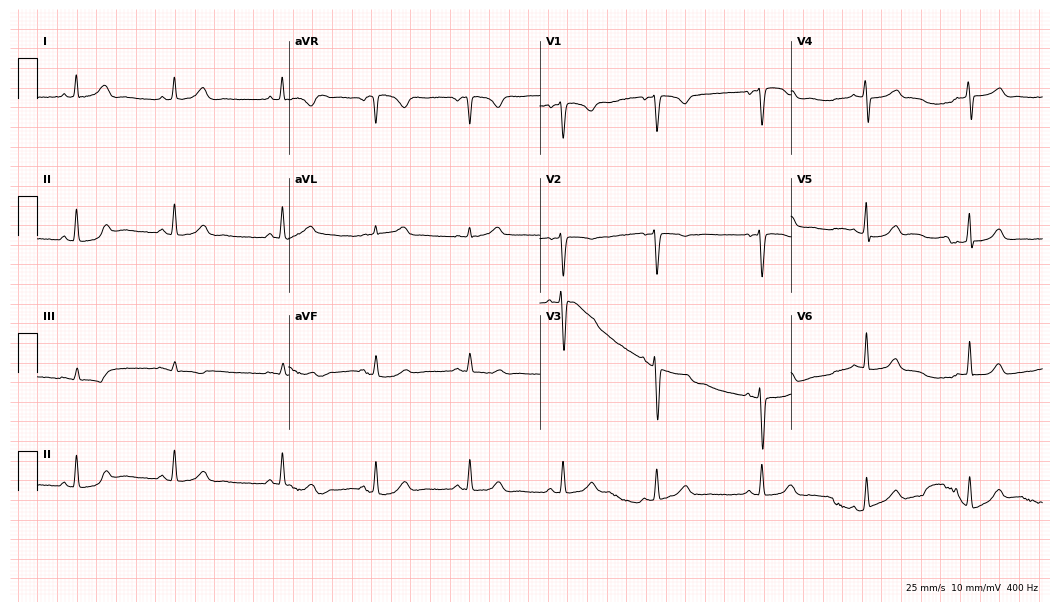
12-lead ECG from a female, 30 years old. No first-degree AV block, right bundle branch block, left bundle branch block, sinus bradycardia, atrial fibrillation or sinus tachycardia recorded for this tracing. Findings outside these six are not listed.